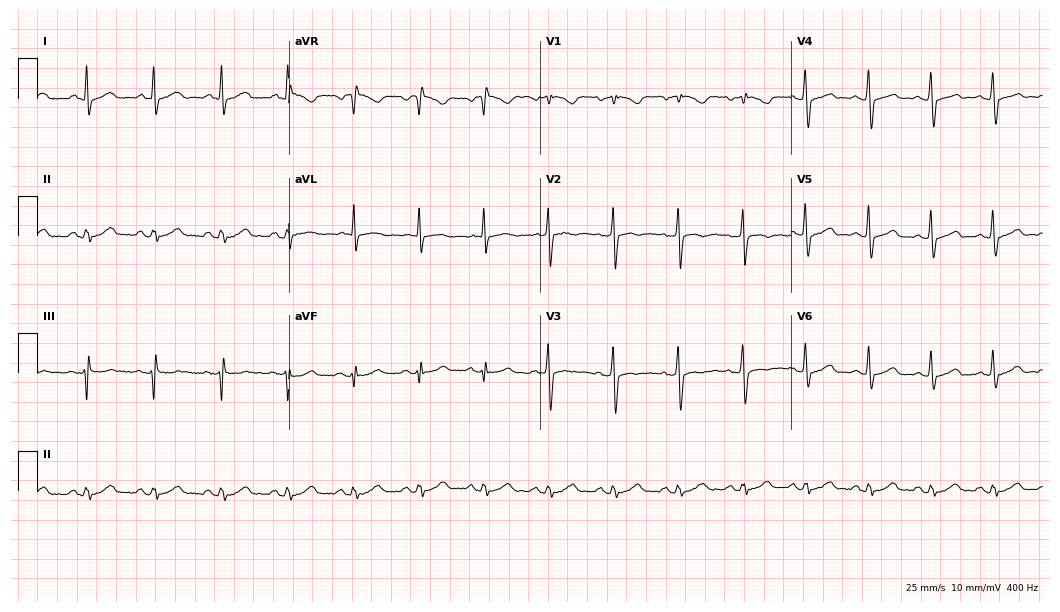
12-lead ECG from a male, 42 years old (10.2-second recording at 400 Hz). No first-degree AV block, right bundle branch block, left bundle branch block, sinus bradycardia, atrial fibrillation or sinus tachycardia recorded for this tracing. Findings outside these six are not listed.